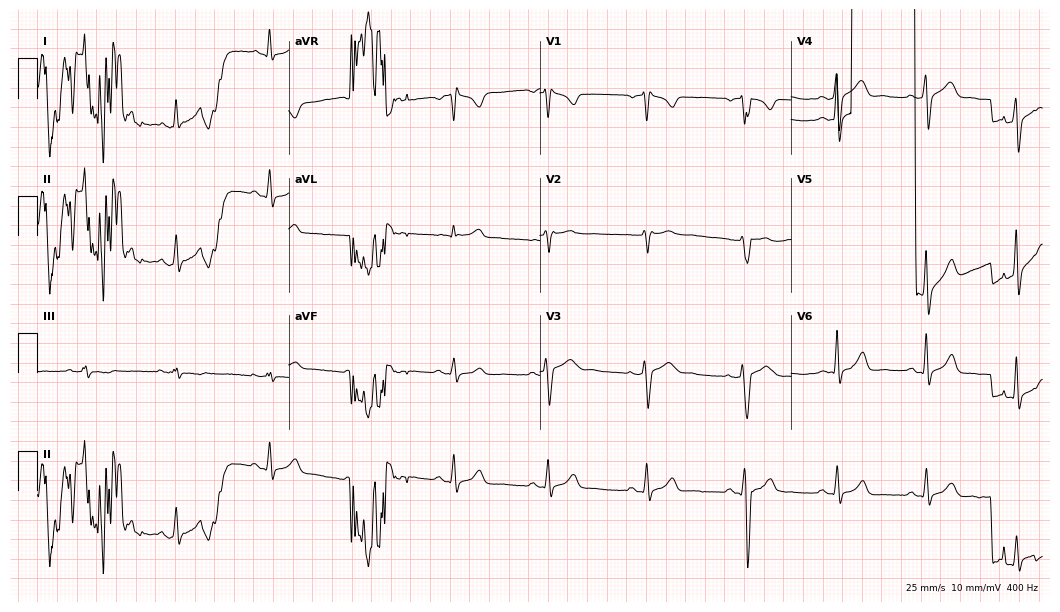
12-lead ECG from a 53-year-old male patient (10.2-second recording at 400 Hz). No first-degree AV block, right bundle branch block, left bundle branch block, sinus bradycardia, atrial fibrillation or sinus tachycardia recorded for this tracing.